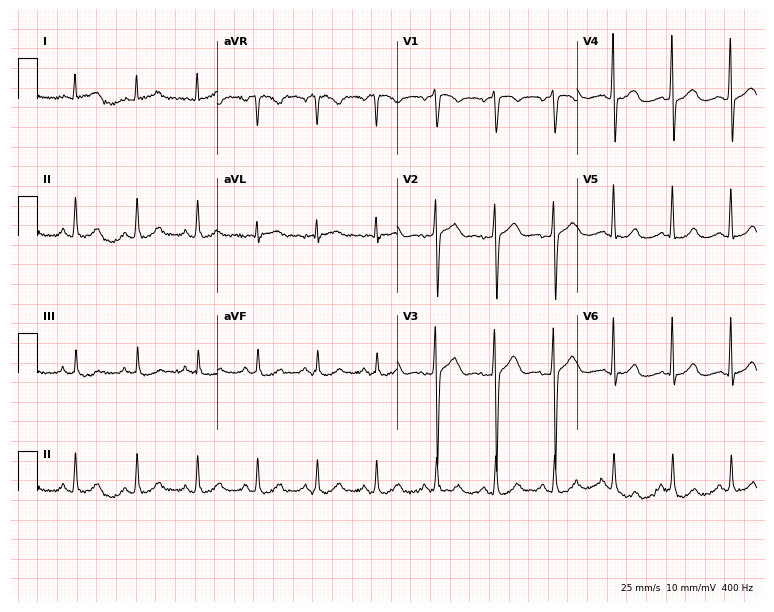
12-lead ECG (7.3-second recording at 400 Hz) from a male patient, 38 years old. Screened for six findings — first-degree AV block, right bundle branch block, left bundle branch block, sinus bradycardia, atrial fibrillation, sinus tachycardia — none is recorded.